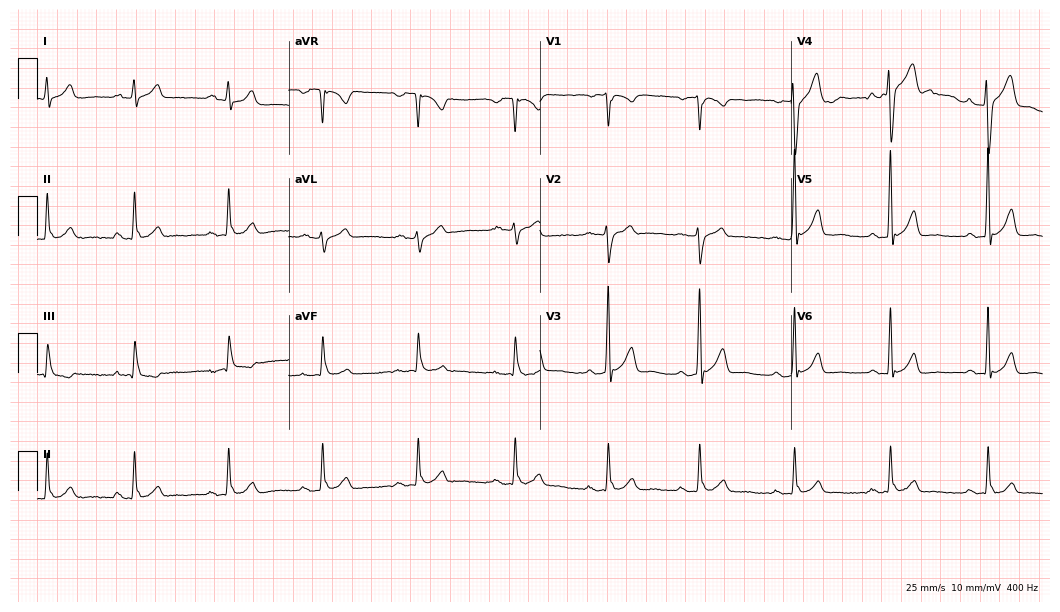
Standard 12-lead ECG recorded from a male patient, 41 years old. Read as a normal ECG.